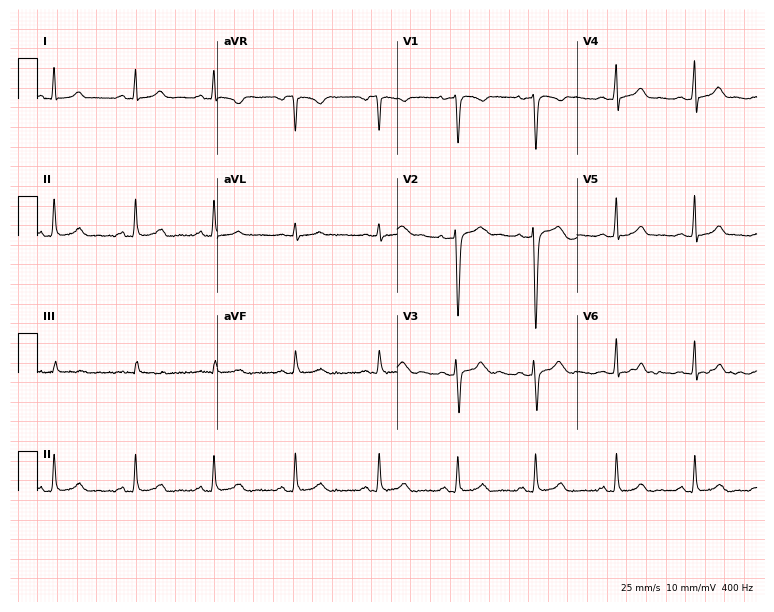
ECG — a man, 25 years old. Labelled as a normal ECG.